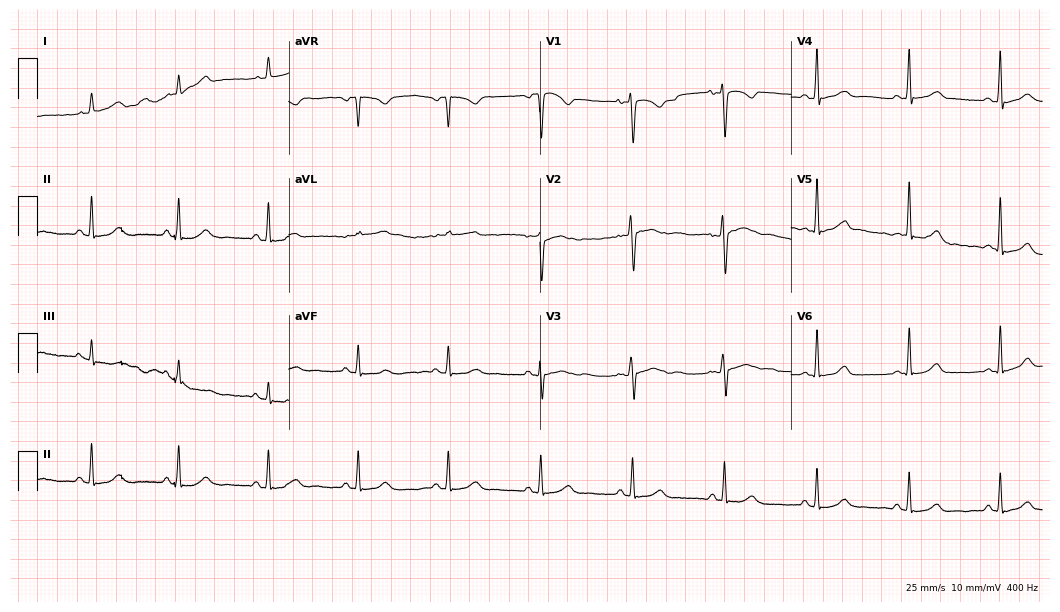
12-lead ECG from a 37-year-old woman. Recorded interpretation: within normal limits.